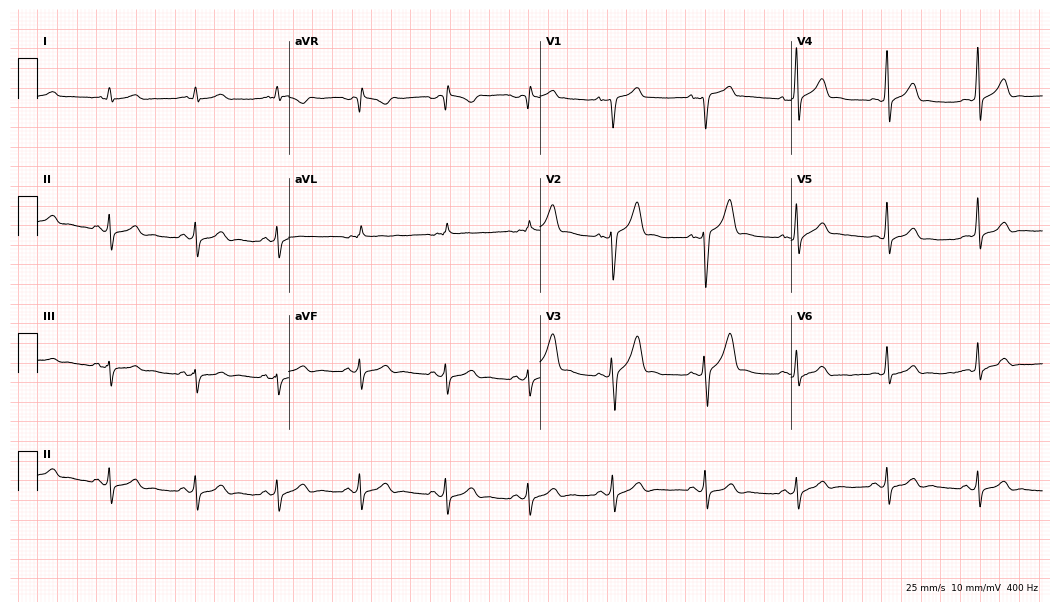
12-lead ECG from a 27-year-old man (10.2-second recording at 400 Hz). Recorded interpretation: within normal limits.